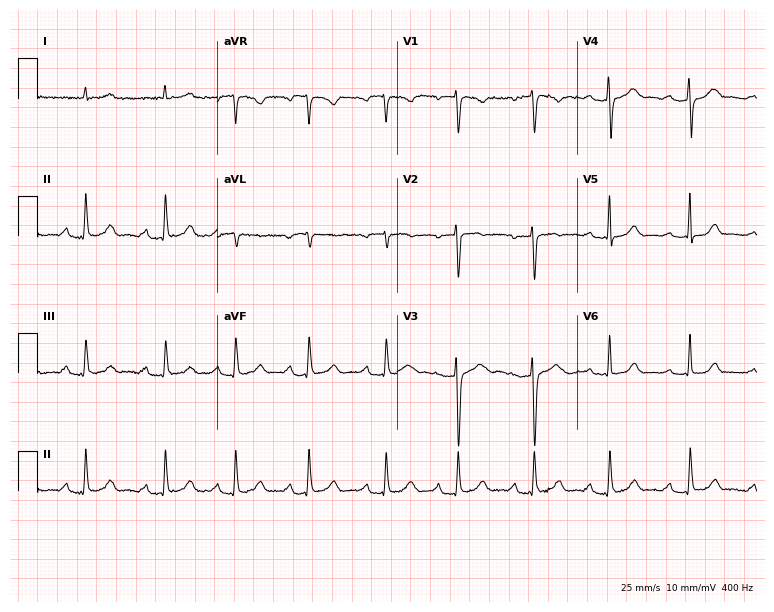
Standard 12-lead ECG recorded from a woman, 31 years old (7.3-second recording at 400 Hz). The tracing shows first-degree AV block.